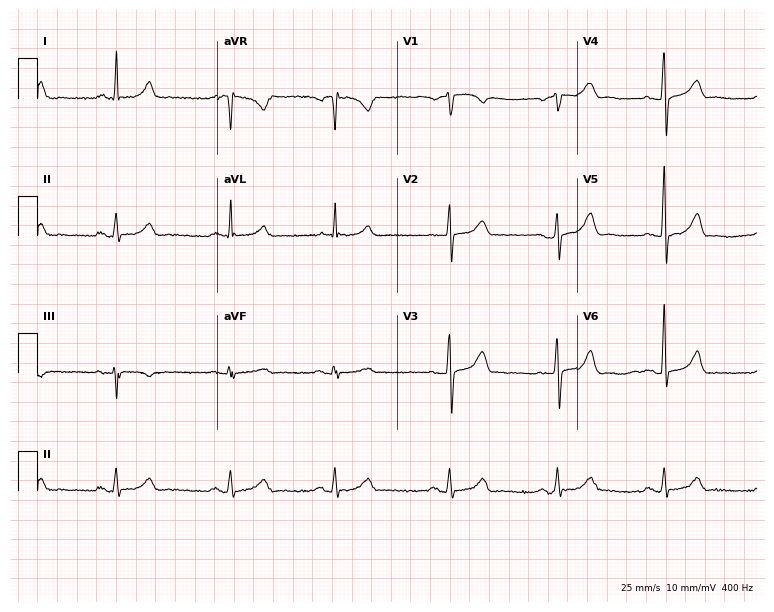
12-lead ECG (7.3-second recording at 400 Hz) from a male patient, 62 years old. Labelled as a normal ECG.